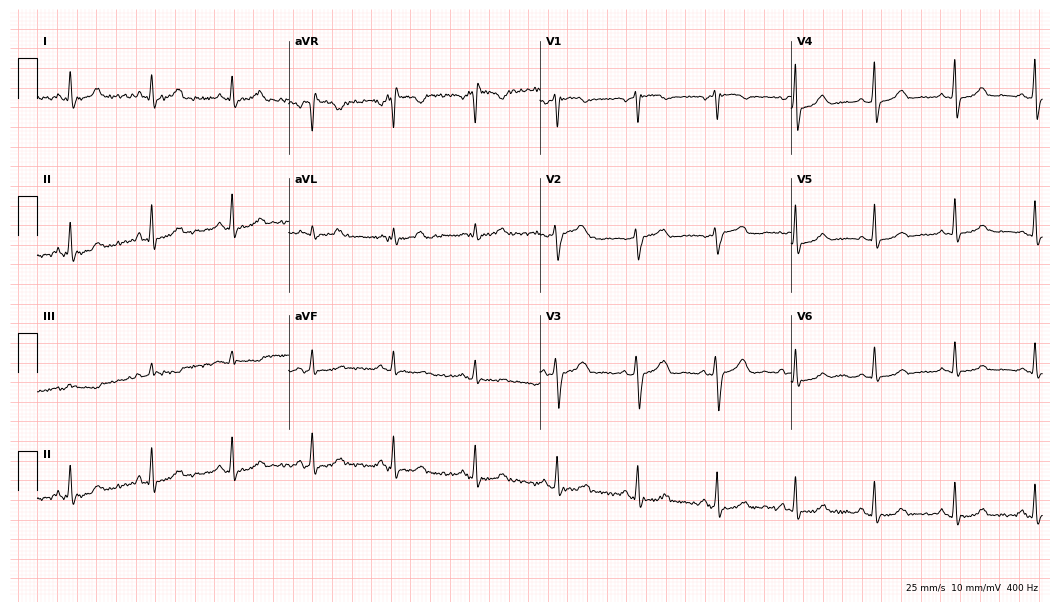
12-lead ECG from a female, 57 years old. Screened for six findings — first-degree AV block, right bundle branch block, left bundle branch block, sinus bradycardia, atrial fibrillation, sinus tachycardia — none is recorded. Other findings, if any, are not listed.